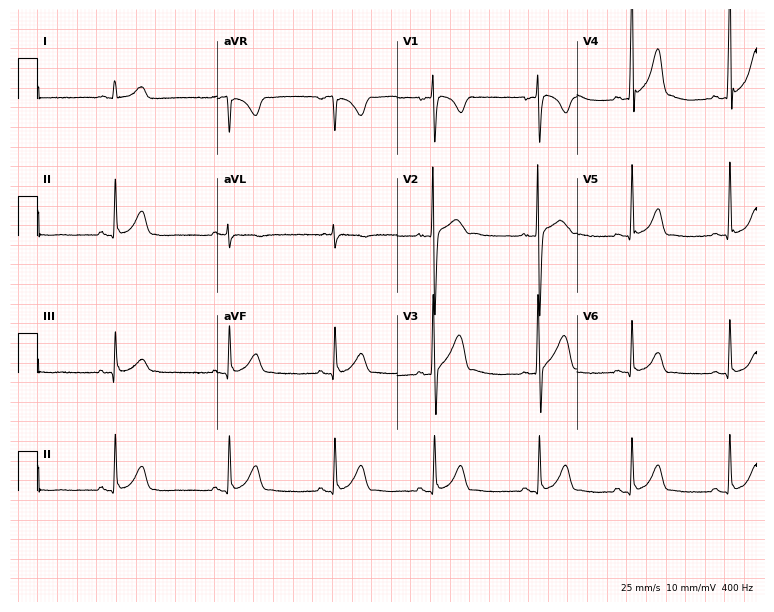
Resting 12-lead electrocardiogram. Patient: a male, 17 years old. None of these six findings is recorded: first-degree AV block, right bundle branch block (RBBB), left bundle branch block (LBBB), sinus bradycardia, atrial fibrillation (AF), sinus tachycardia.